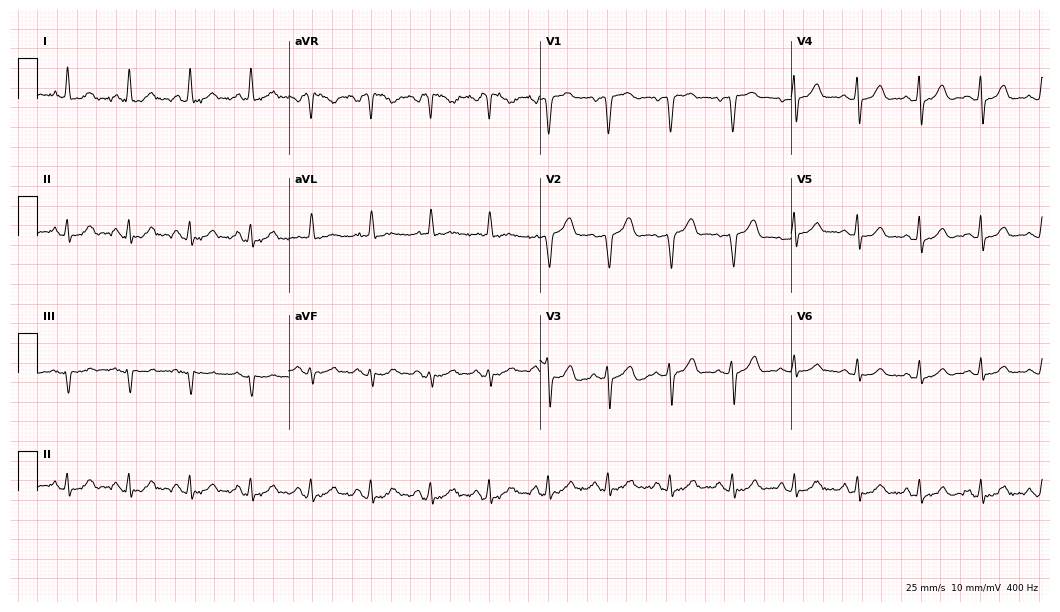
ECG — a woman, 66 years old. Labelled as a normal ECG.